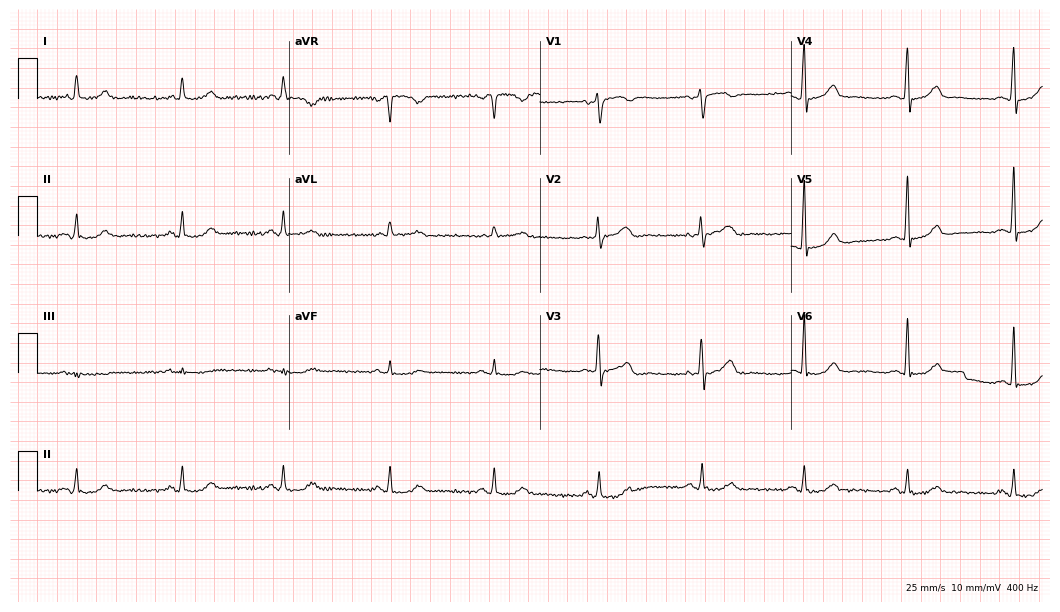
Standard 12-lead ECG recorded from a female, 48 years old. Read as a normal ECG.